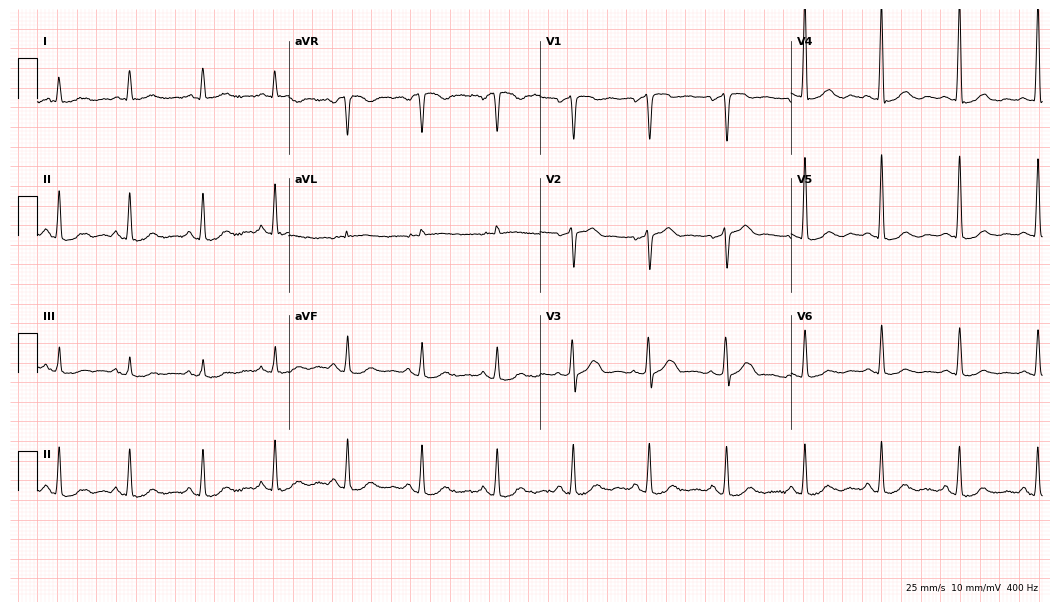
Resting 12-lead electrocardiogram (10.2-second recording at 400 Hz). Patient: a male, 85 years old. None of these six findings is recorded: first-degree AV block, right bundle branch block (RBBB), left bundle branch block (LBBB), sinus bradycardia, atrial fibrillation (AF), sinus tachycardia.